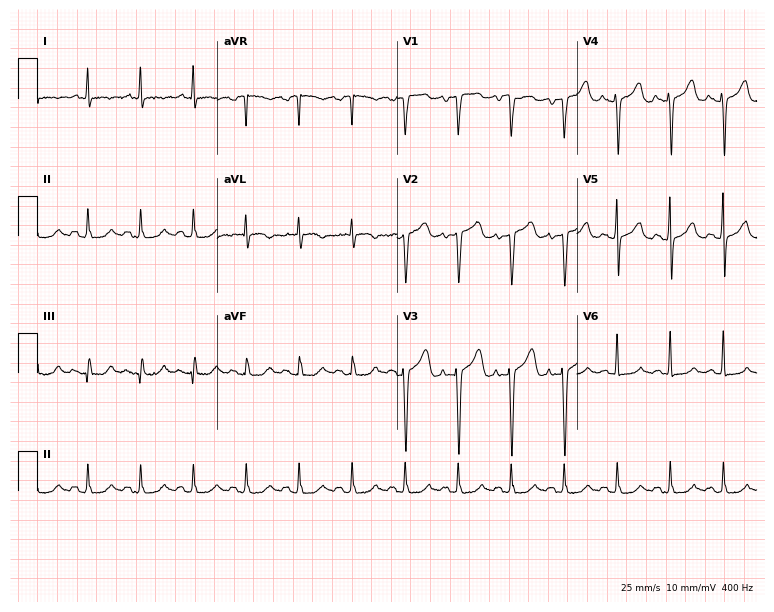
12-lead ECG (7.3-second recording at 400 Hz) from a man, 58 years old. Findings include sinus tachycardia (a sinus rate of 100 beats per minute or more).